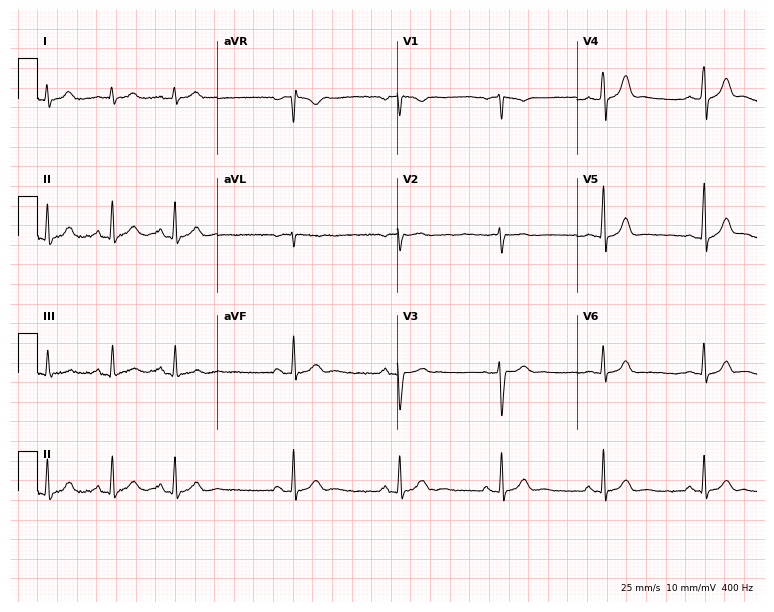
Standard 12-lead ECG recorded from a 21-year-old woman (7.3-second recording at 400 Hz). Read as a normal ECG.